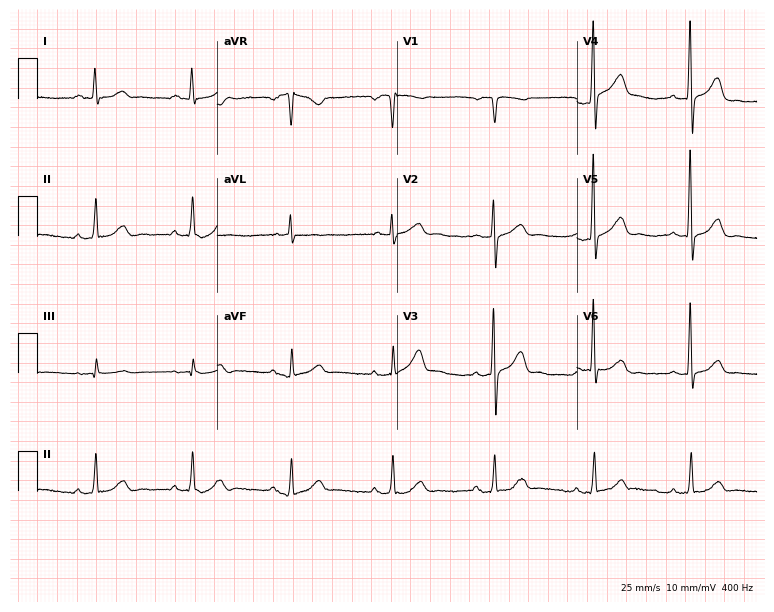
ECG — a man, 67 years old. Labelled as a normal ECG.